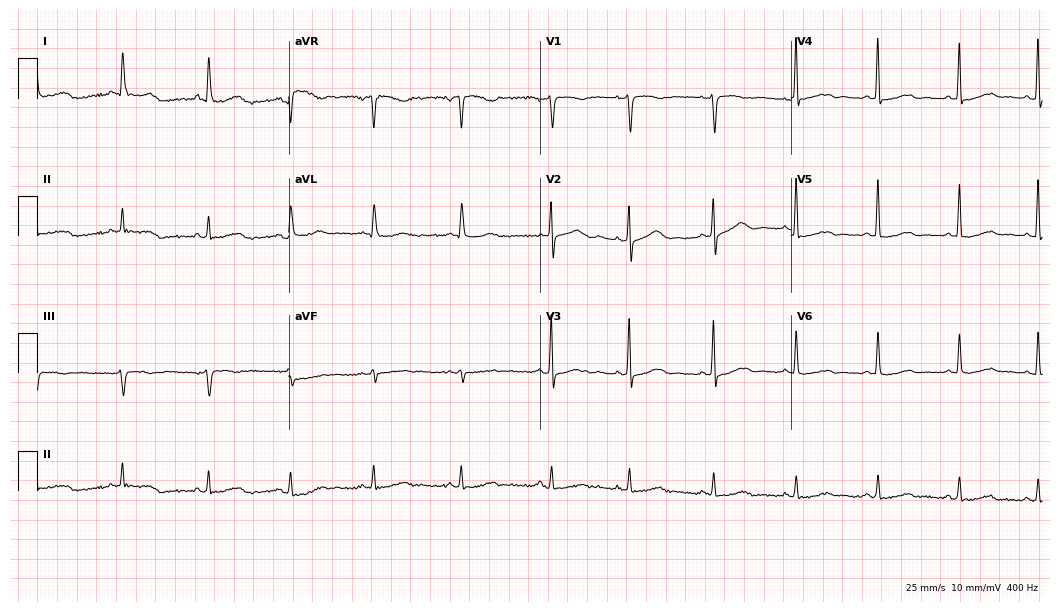
Electrocardiogram (10.2-second recording at 400 Hz), a 60-year-old female patient. Overall reading on record: normal ECG.